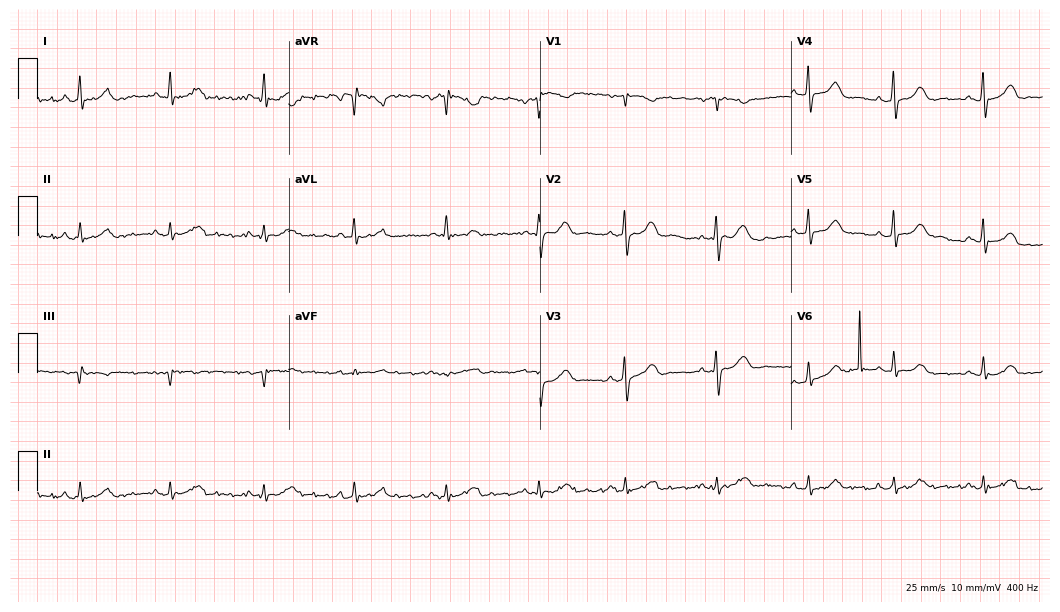
12-lead ECG (10.2-second recording at 400 Hz) from a female, 71 years old. Labelled as a normal ECG.